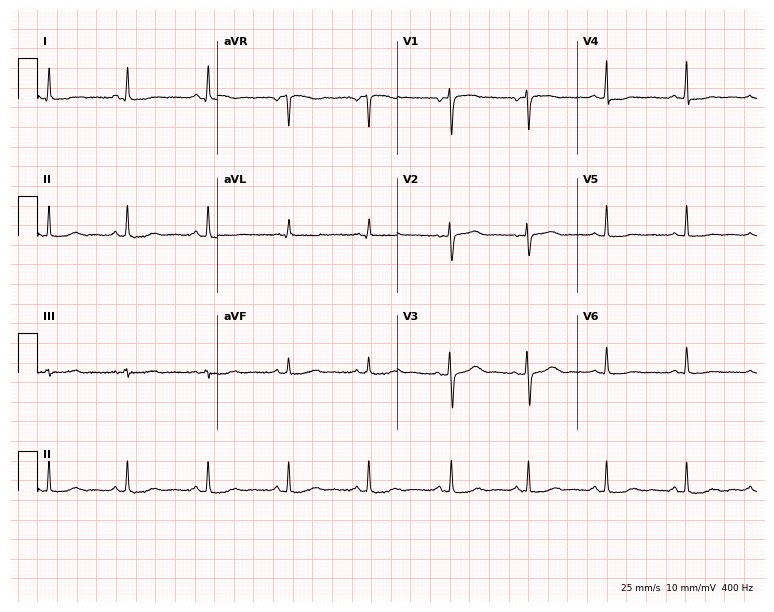
12-lead ECG from a 42-year-old woman (7.3-second recording at 400 Hz). No first-degree AV block, right bundle branch block, left bundle branch block, sinus bradycardia, atrial fibrillation or sinus tachycardia recorded for this tracing. Other findings, if any, are not listed.